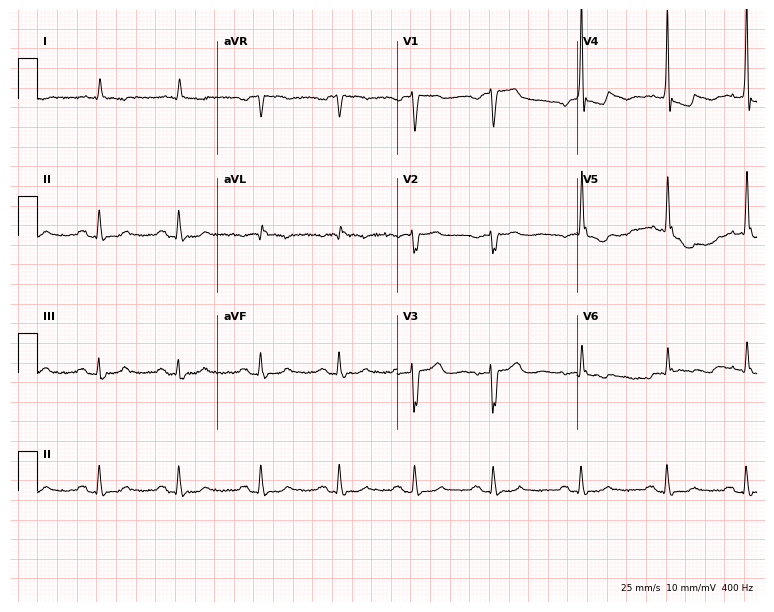
Electrocardiogram, a male patient, 83 years old. Of the six screened findings (first-degree AV block, right bundle branch block, left bundle branch block, sinus bradycardia, atrial fibrillation, sinus tachycardia), none is recorded. Only these six findings were labelled.